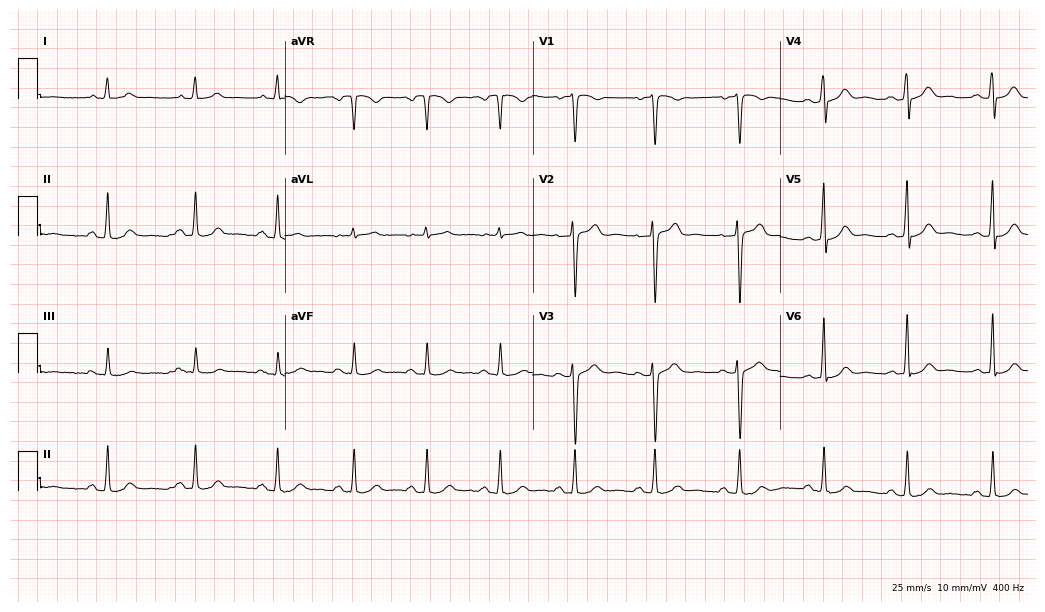
ECG (10.1-second recording at 400 Hz) — a 31-year-old man. Labelled as a normal ECG.